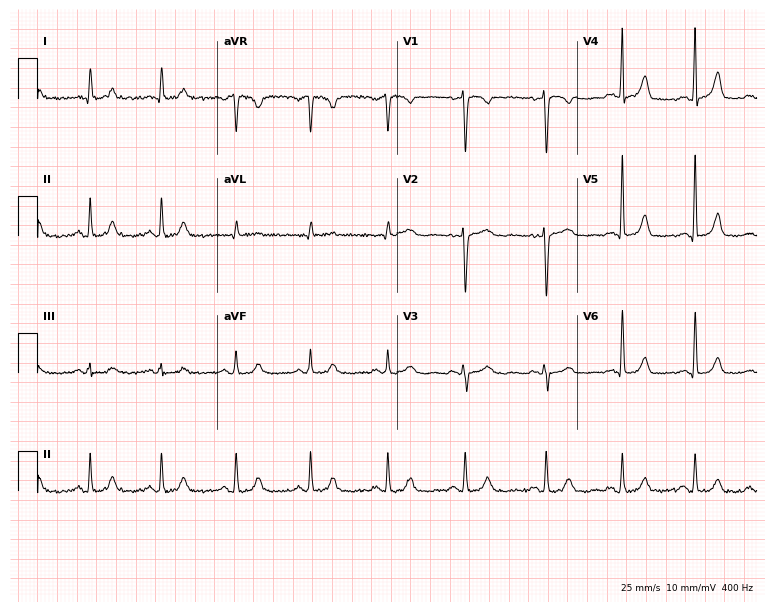
12-lead ECG (7.3-second recording at 400 Hz) from a 31-year-old female. Labelled as a normal ECG.